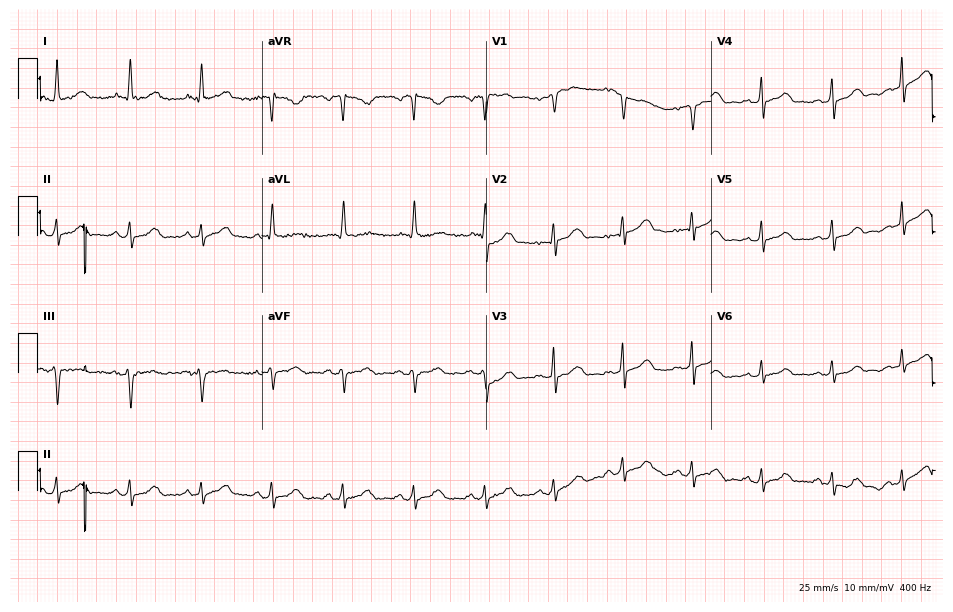
Resting 12-lead electrocardiogram (9.2-second recording at 400 Hz). Patient: a 76-year-old woman. Read as a normal ECG.